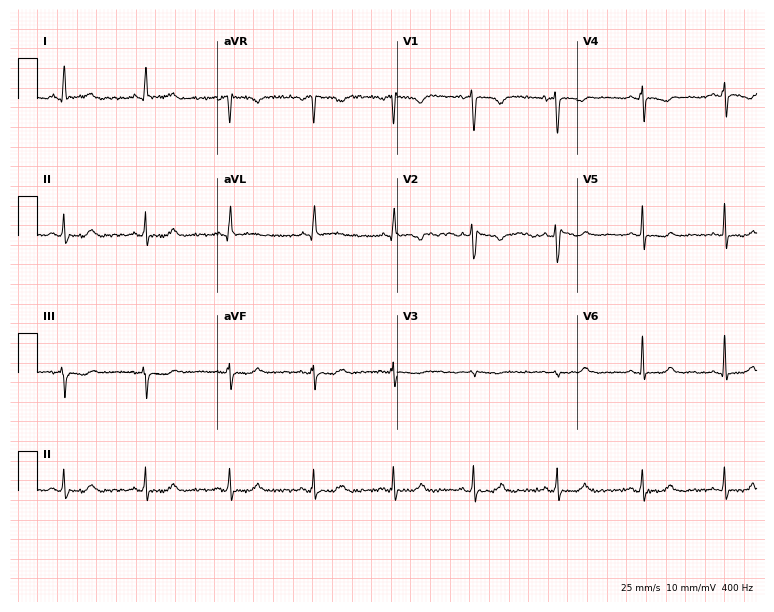
Electrocardiogram, a 27-year-old female. Of the six screened findings (first-degree AV block, right bundle branch block, left bundle branch block, sinus bradycardia, atrial fibrillation, sinus tachycardia), none is recorded.